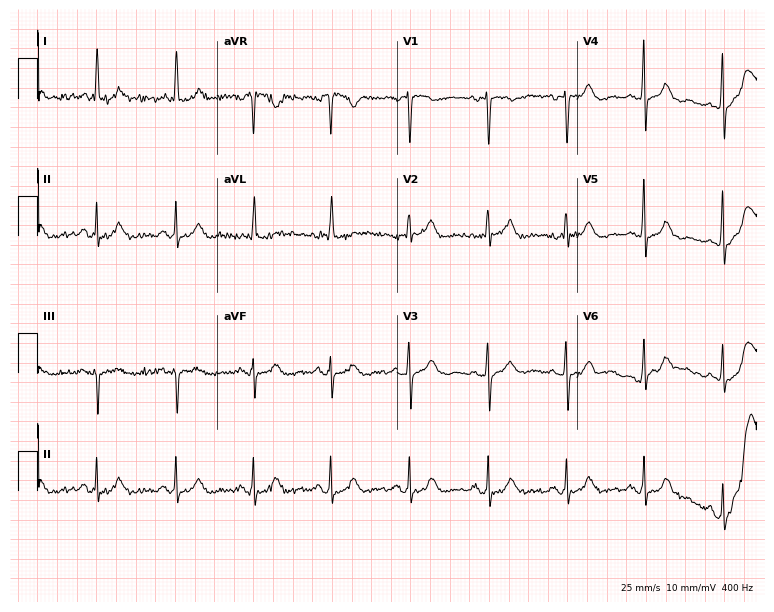
Resting 12-lead electrocardiogram (7.3-second recording at 400 Hz). Patient: an 84-year-old female. Read as a normal ECG.